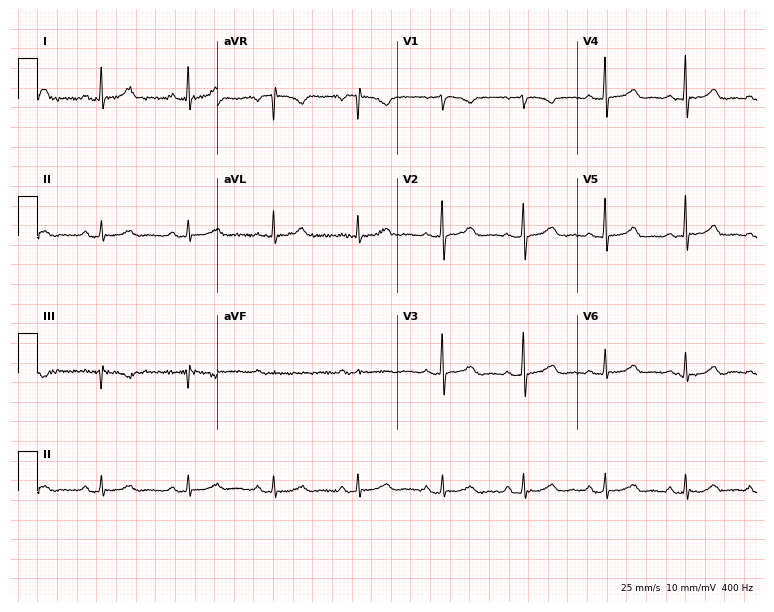
Resting 12-lead electrocardiogram (7.3-second recording at 400 Hz). Patient: a female, 47 years old. Read as a normal ECG.